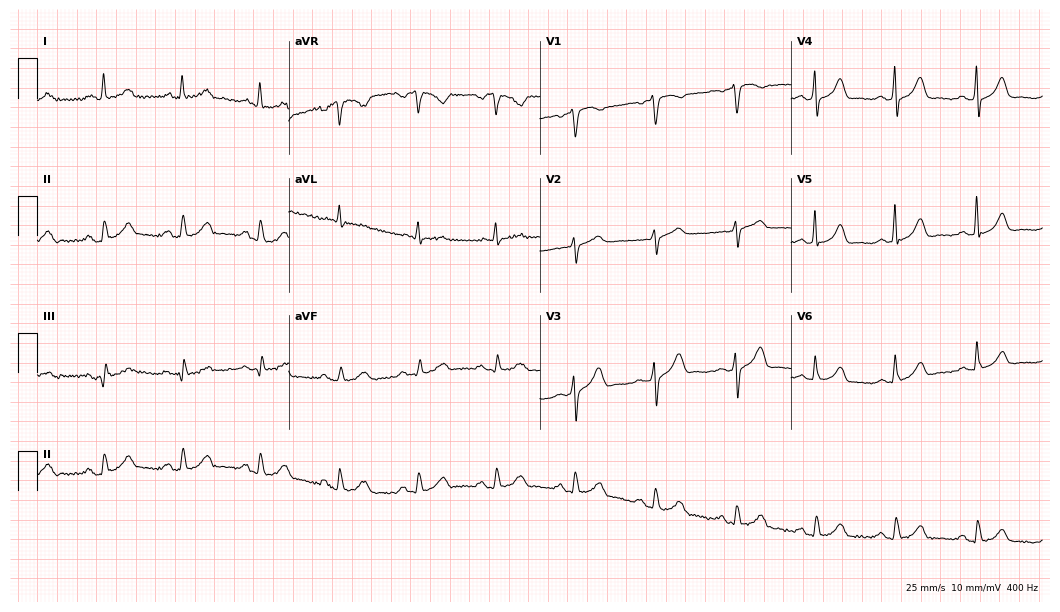
Standard 12-lead ECG recorded from a 70-year-old woman. Read as a normal ECG.